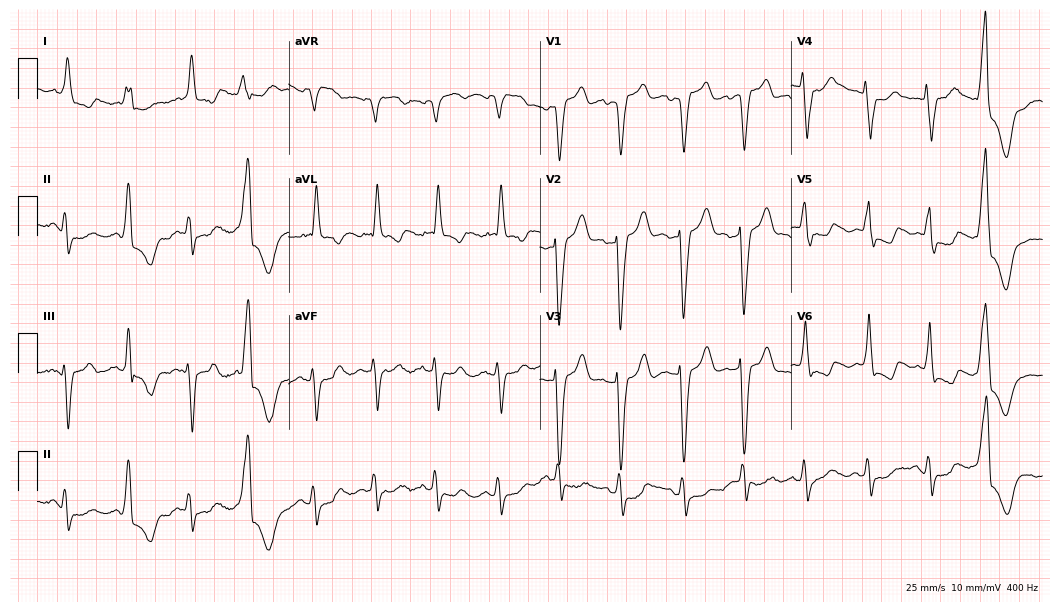
12-lead ECG from an 84-year-old woman. Findings include left bundle branch block.